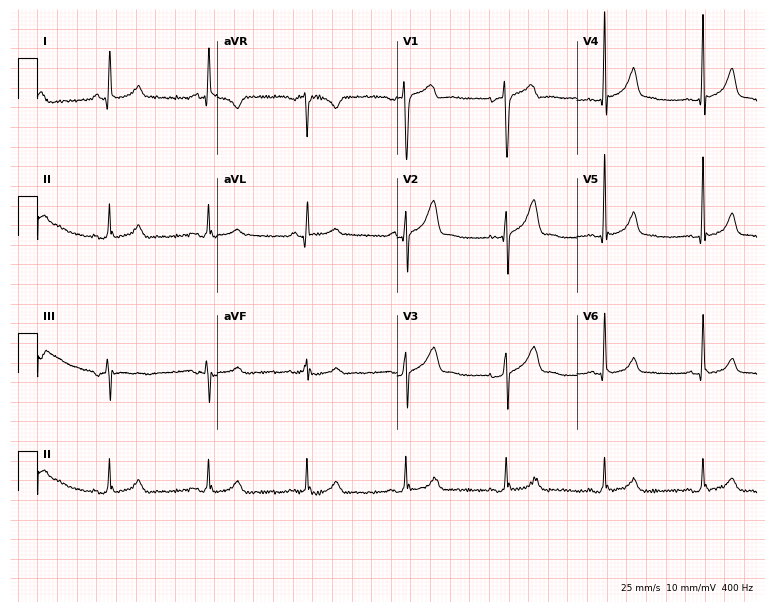
12-lead ECG from a man, 36 years old. Recorded interpretation: within normal limits.